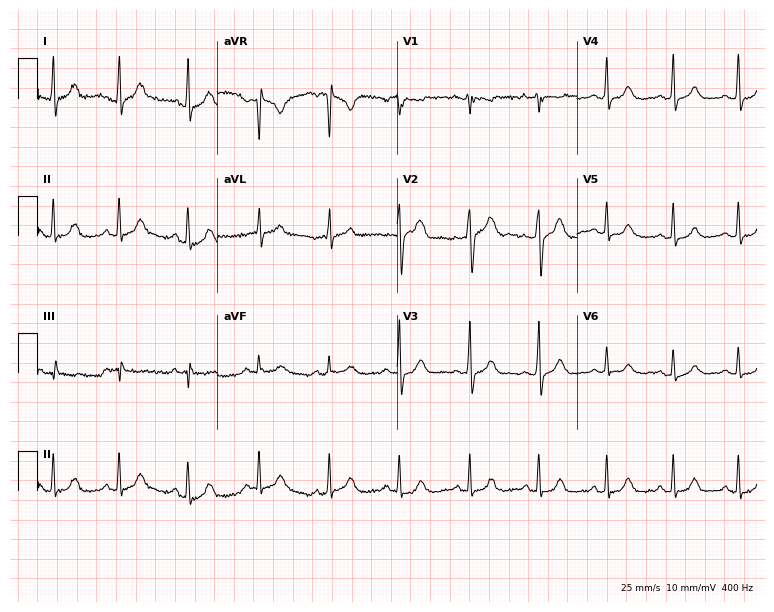
Electrocardiogram, a female patient, 32 years old. Overall reading on record: normal ECG.